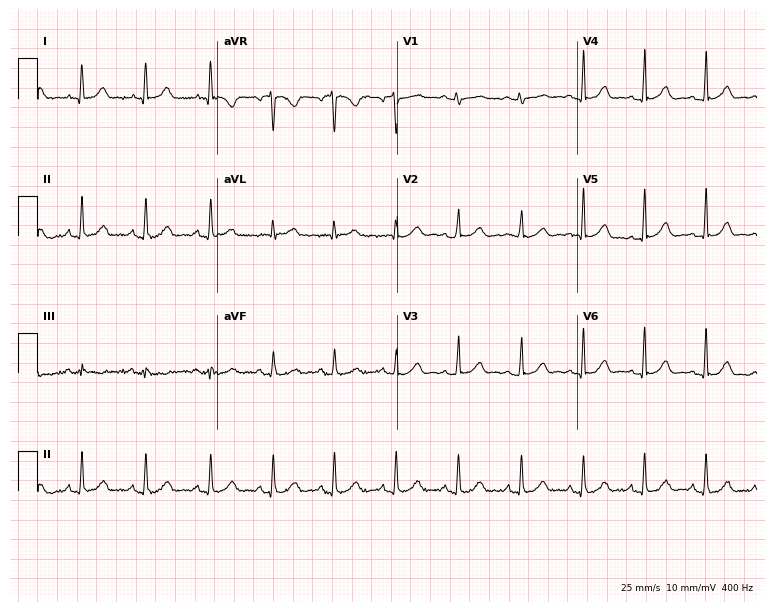
12-lead ECG from a female, 33 years old. Labelled as a normal ECG.